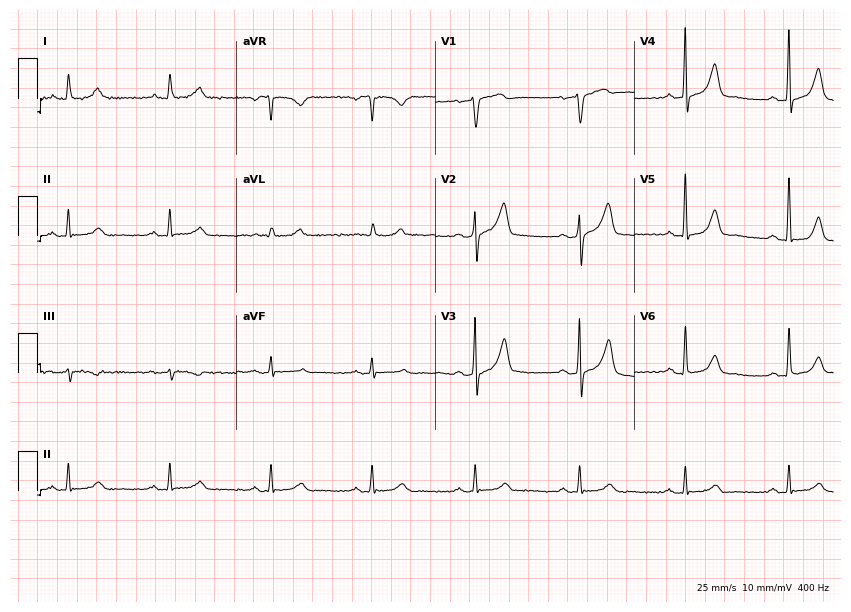
12-lead ECG (8.1-second recording at 400 Hz) from a 55-year-old male. Labelled as a normal ECG.